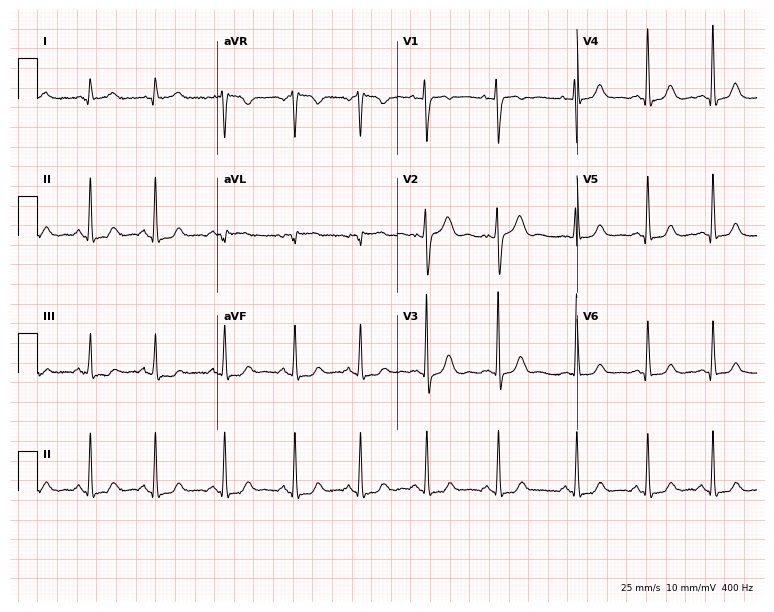
ECG (7.3-second recording at 400 Hz) — a 21-year-old female patient. Labelled as a normal ECG.